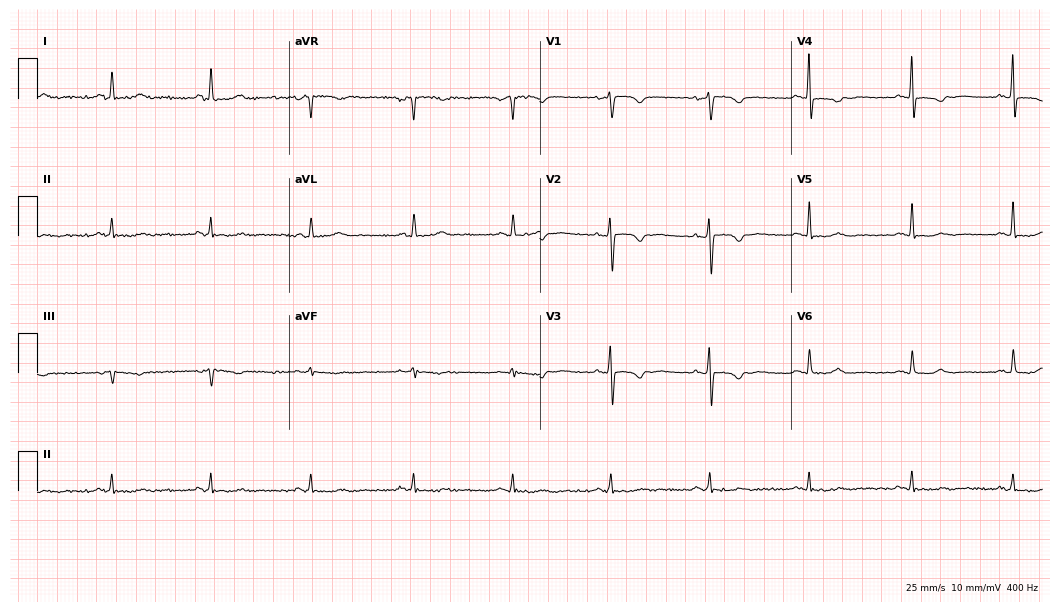
12-lead ECG from a female, 67 years old. No first-degree AV block, right bundle branch block, left bundle branch block, sinus bradycardia, atrial fibrillation or sinus tachycardia recorded for this tracing.